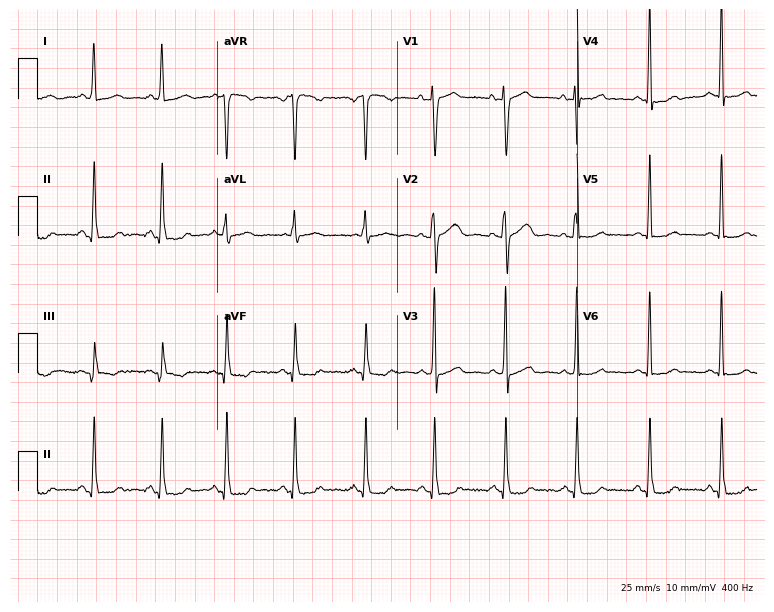
12-lead ECG from a female patient, 51 years old (7.3-second recording at 400 Hz). No first-degree AV block, right bundle branch block (RBBB), left bundle branch block (LBBB), sinus bradycardia, atrial fibrillation (AF) or sinus tachycardia recorded for this tracing.